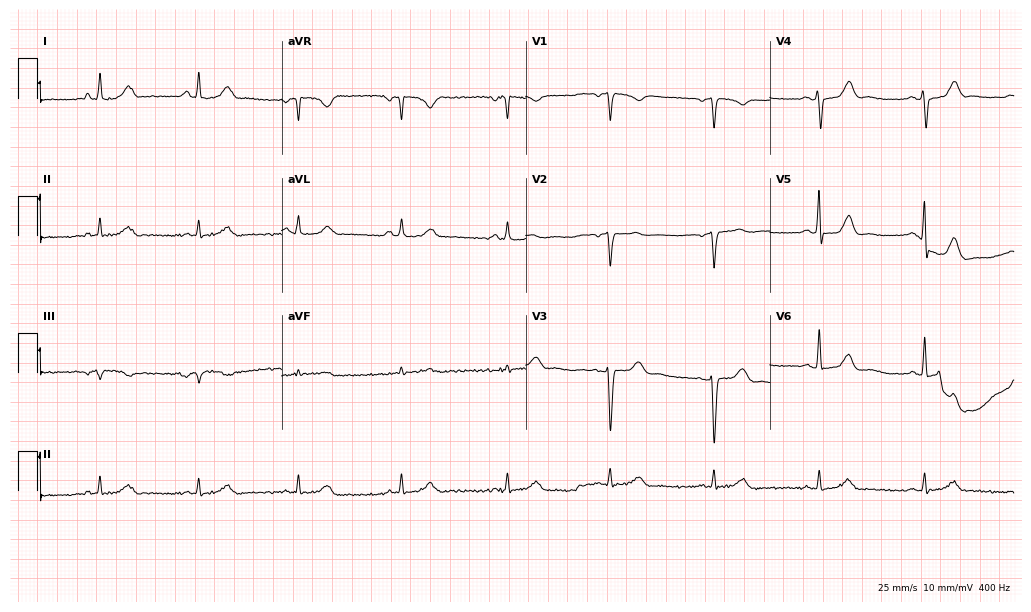
ECG (10-second recording at 400 Hz) — a woman, 49 years old. Screened for six findings — first-degree AV block, right bundle branch block, left bundle branch block, sinus bradycardia, atrial fibrillation, sinus tachycardia — none is recorded.